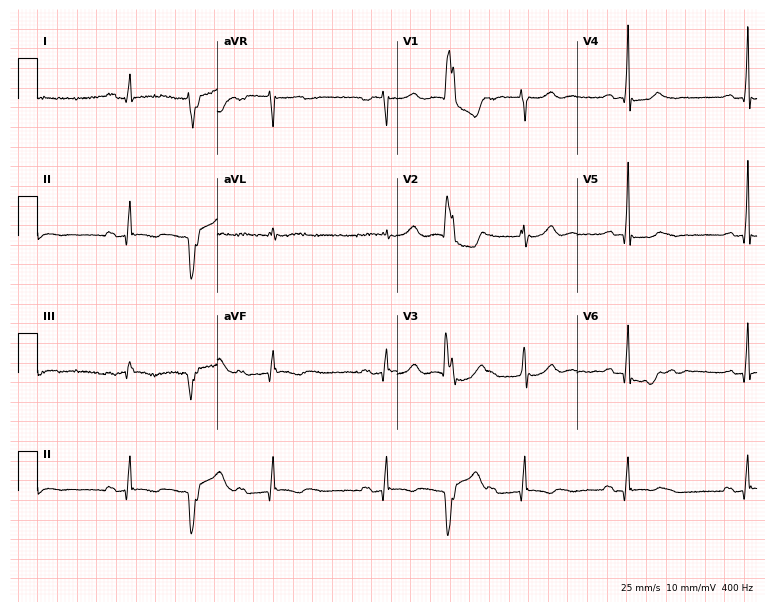
12-lead ECG (7.3-second recording at 400 Hz) from a 65-year-old male patient. Screened for six findings — first-degree AV block, right bundle branch block, left bundle branch block, sinus bradycardia, atrial fibrillation, sinus tachycardia — none is recorded.